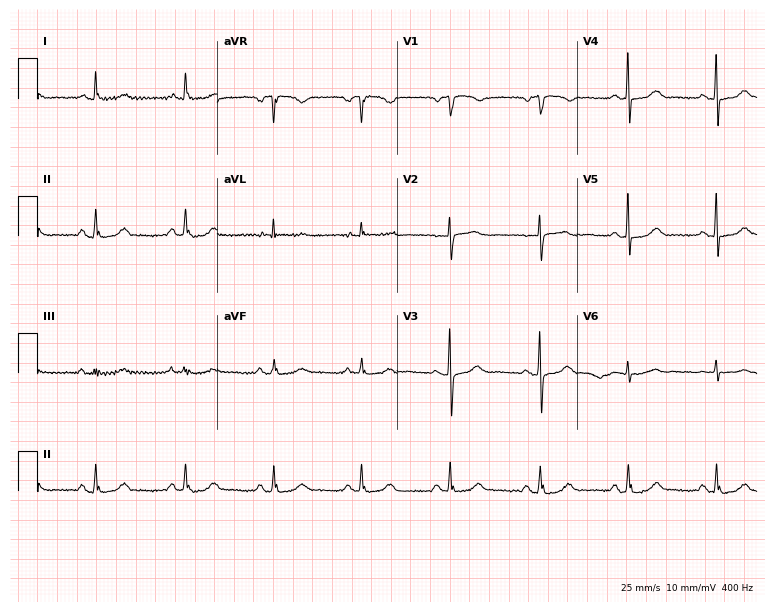
Electrocardiogram (7.3-second recording at 400 Hz), a 69-year-old female patient. Overall reading on record: normal ECG.